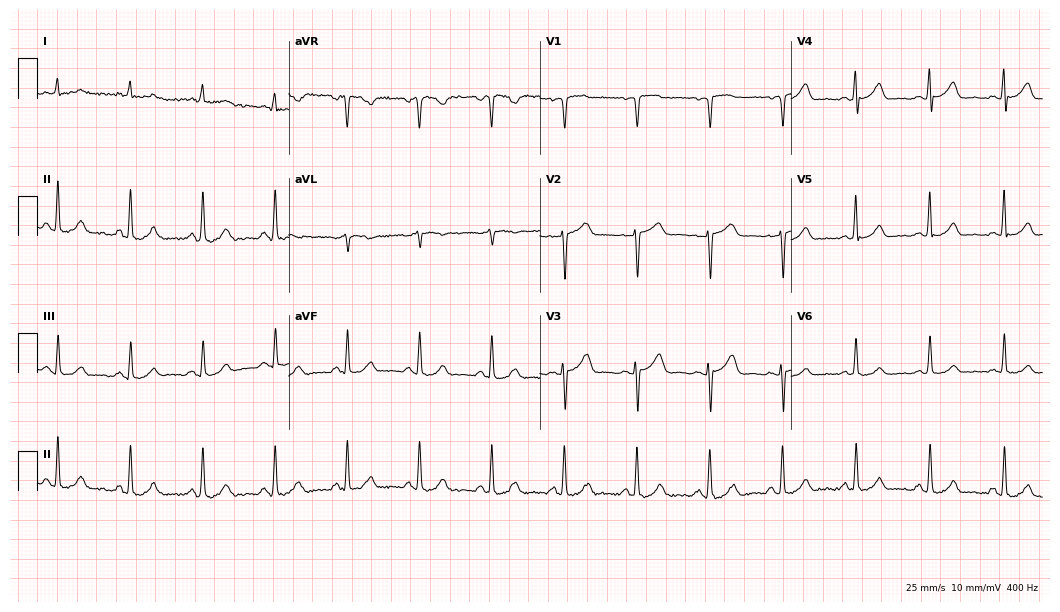
12-lead ECG from a man, 79 years old (10.2-second recording at 400 Hz). Recorded interpretation: within normal limits.